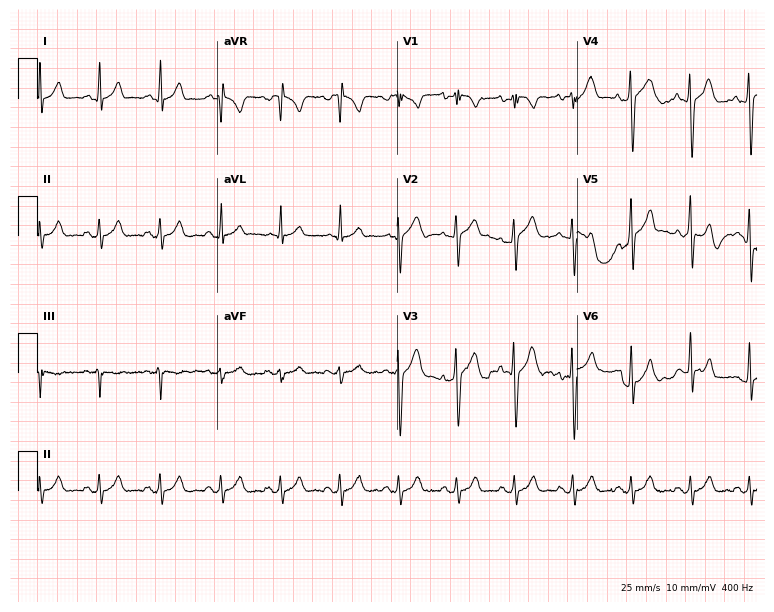
Resting 12-lead electrocardiogram (7.3-second recording at 400 Hz). Patient: a male, 28 years old. Read as a normal ECG.